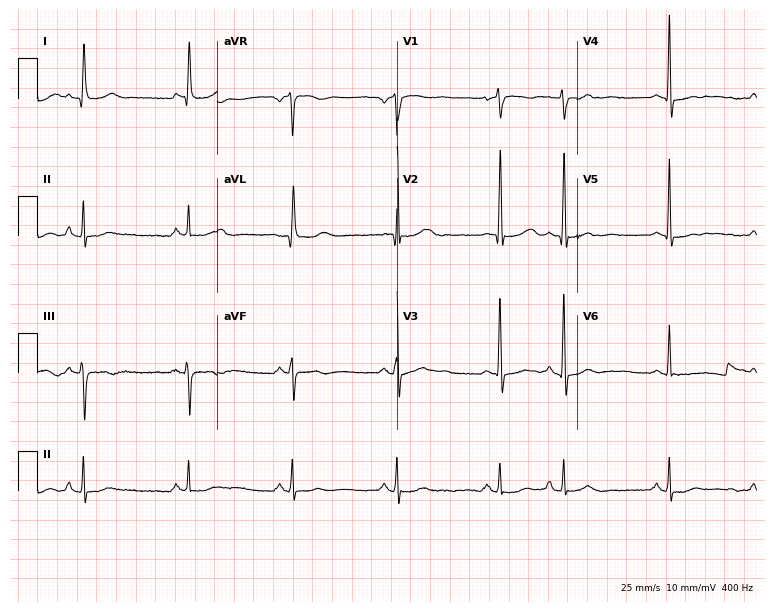
Resting 12-lead electrocardiogram. Patient: a female, 65 years old. None of these six findings is recorded: first-degree AV block, right bundle branch block (RBBB), left bundle branch block (LBBB), sinus bradycardia, atrial fibrillation (AF), sinus tachycardia.